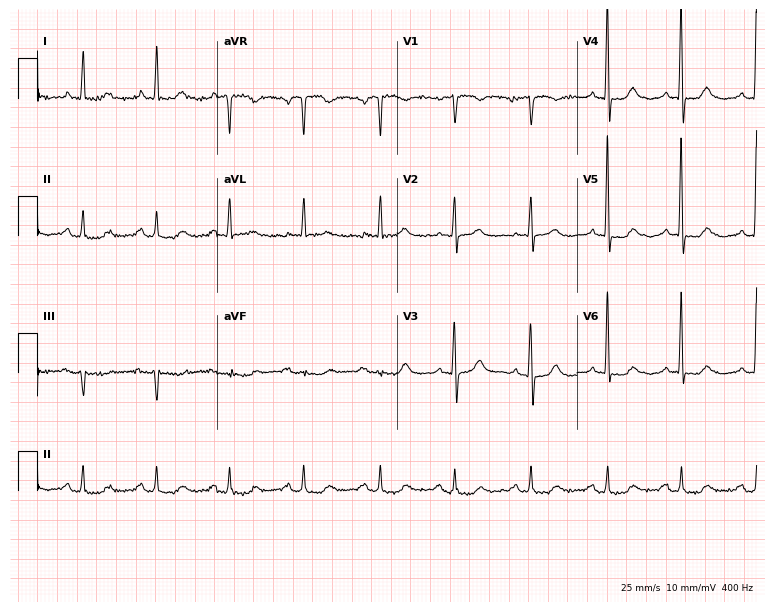
ECG — a 79-year-old female. Screened for six findings — first-degree AV block, right bundle branch block, left bundle branch block, sinus bradycardia, atrial fibrillation, sinus tachycardia — none is recorded.